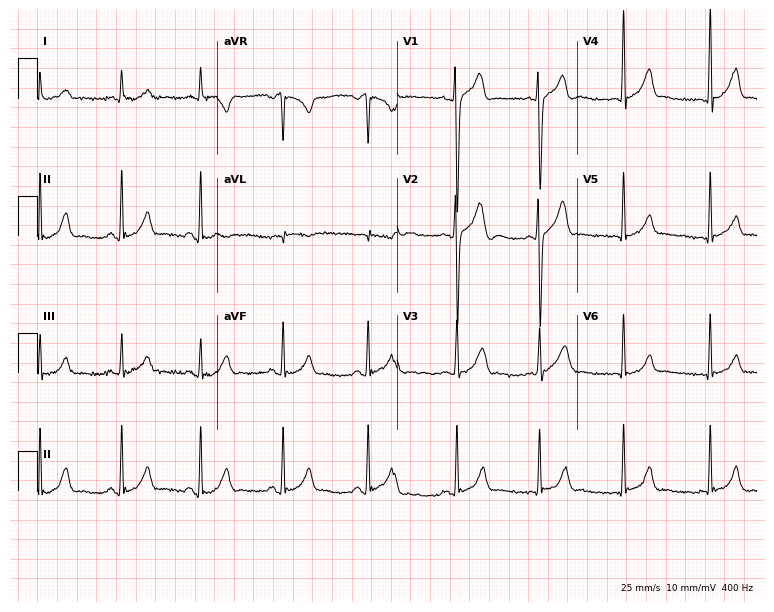
12-lead ECG from a 23-year-old male. Recorded interpretation: within normal limits.